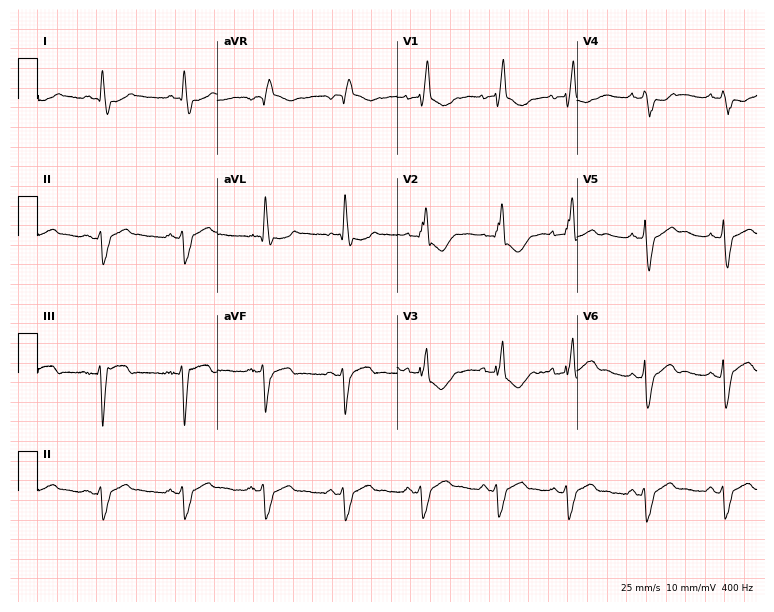
ECG — a 62-year-old female. Findings include right bundle branch block.